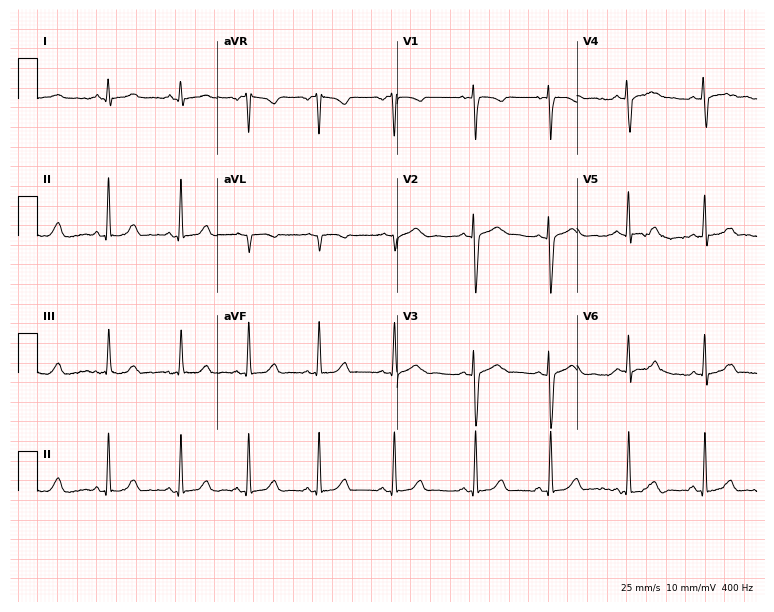
12-lead ECG from a woman, 22 years old (7.3-second recording at 400 Hz). Recorded interpretation: within normal limits.